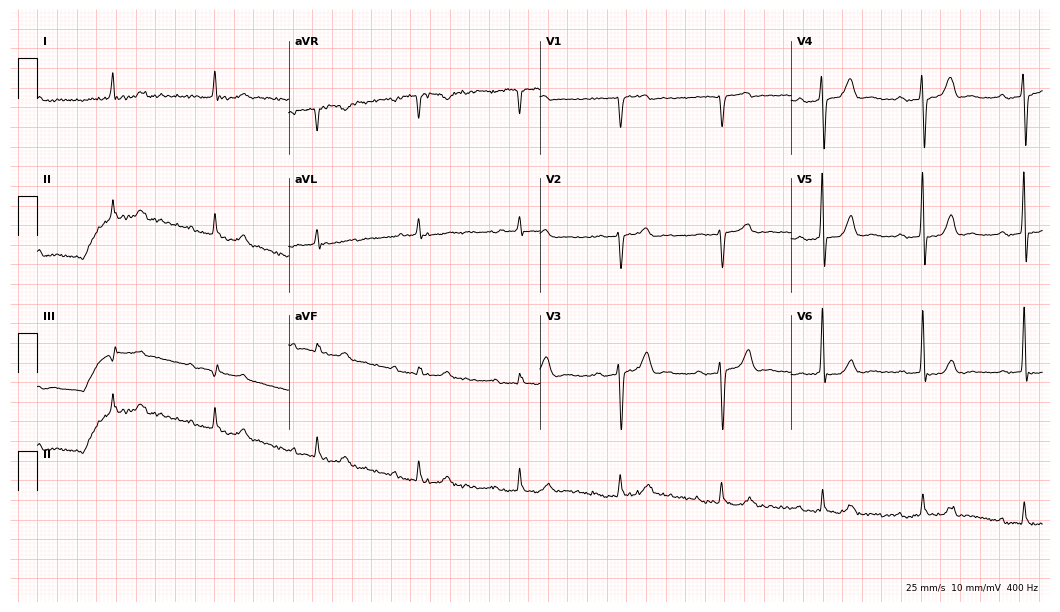
ECG — a 77-year-old man. Findings include first-degree AV block.